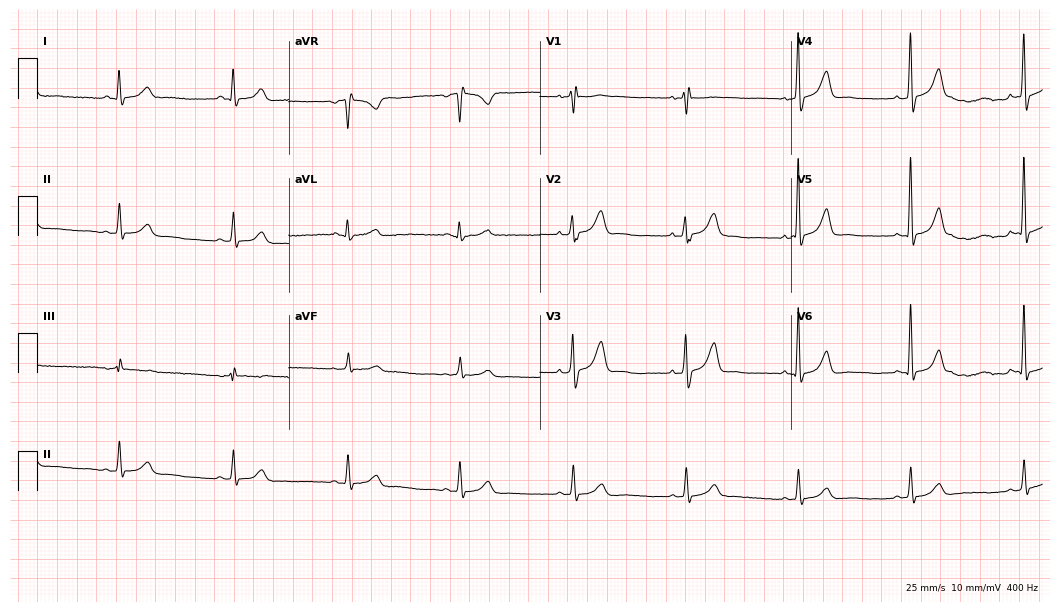
Standard 12-lead ECG recorded from a man, 50 years old. None of these six findings is recorded: first-degree AV block, right bundle branch block, left bundle branch block, sinus bradycardia, atrial fibrillation, sinus tachycardia. Findings outside these six are not listed.